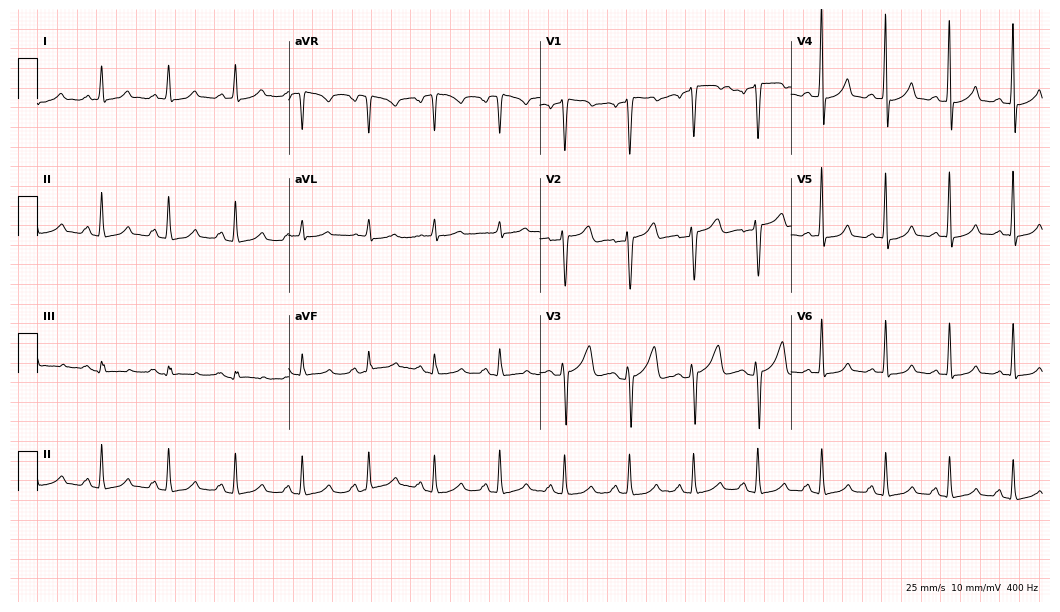
Electrocardiogram (10.2-second recording at 400 Hz), a 51-year-old male. Overall reading on record: normal ECG.